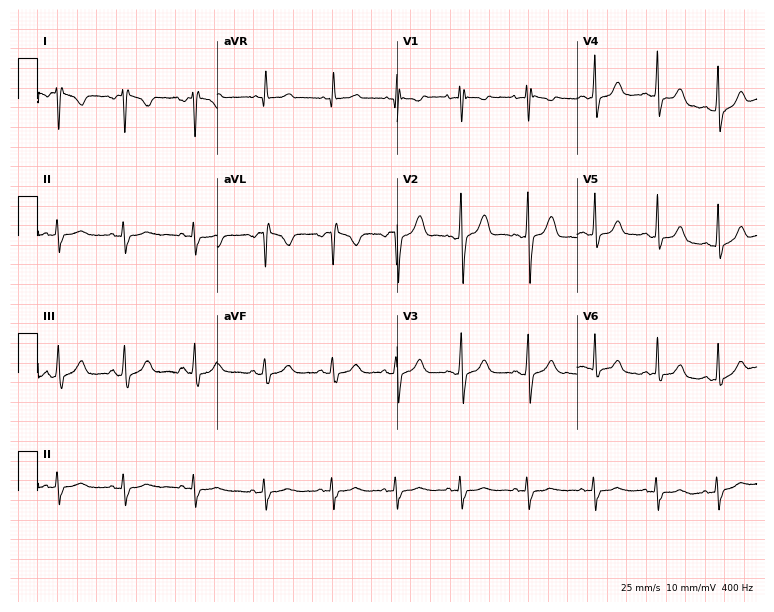
ECG (7.3-second recording at 400 Hz) — a 19-year-old male. Screened for six findings — first-degree AV block, right bundle branch block (RBBB), left bundle branch block (LBBB), sinus bradycardia, atrial fibrillation (AF), sinus tachycardia — none is recorded.